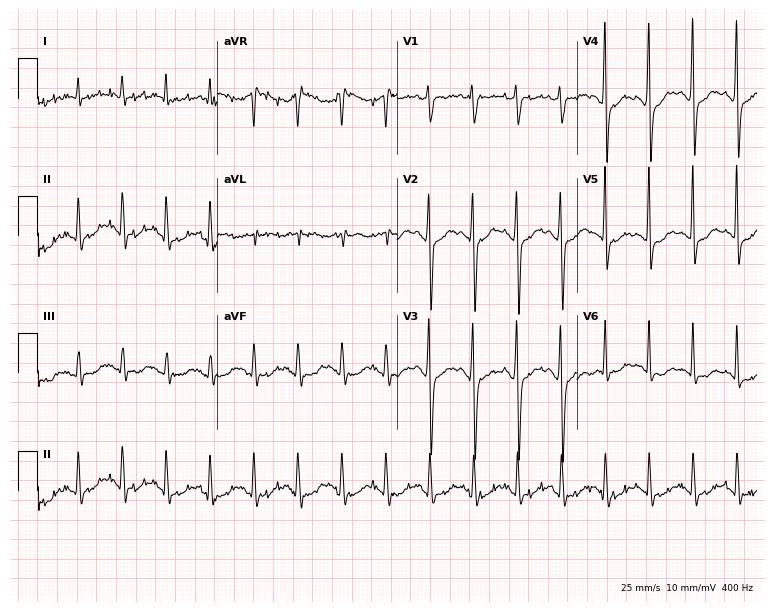
12-lead ECG from a male, 43 years old (7.3-second recording at 400 Hz). No first-degree AV block, right bundle branch block (RBBB), left bundle branch block (LBBB), sinus bradycardia, atrial fibrillation (AF) or sinus tachycardia recorded for this tracing.